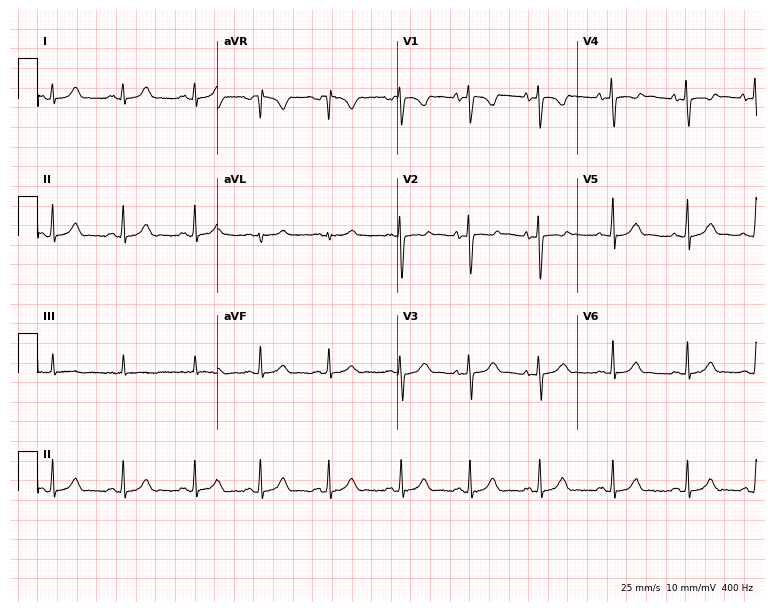
12-lead ECG (7.3-second recording at 400 Hz) from a 28-year-old male patient. Labelled as a normal ECG.